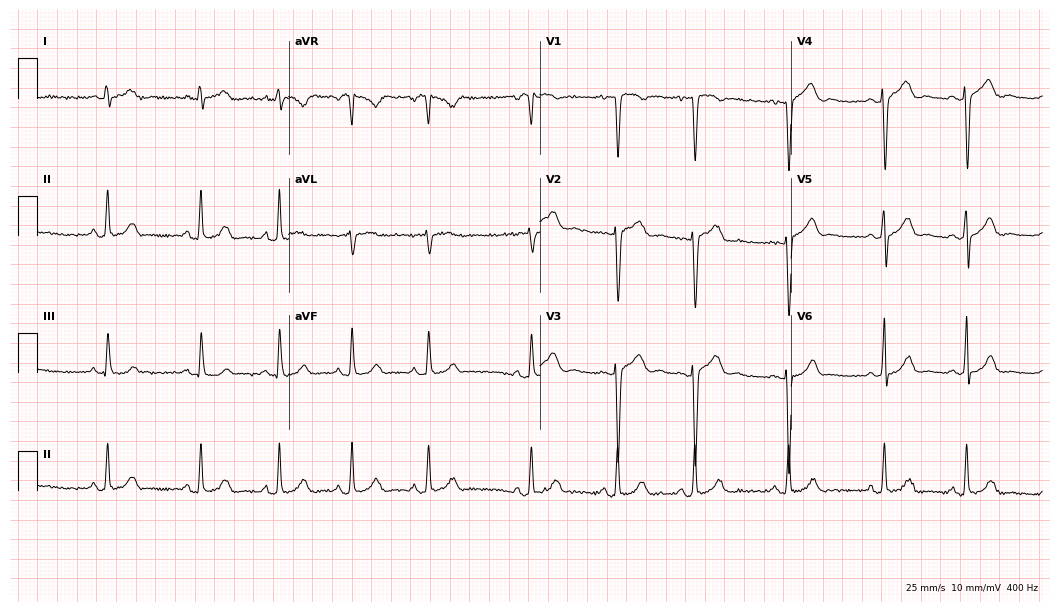
Electrocardiogram (10.2-second recording at 400 Hz), a female patient, 18 years old. Overall reading on record: normal ECG.